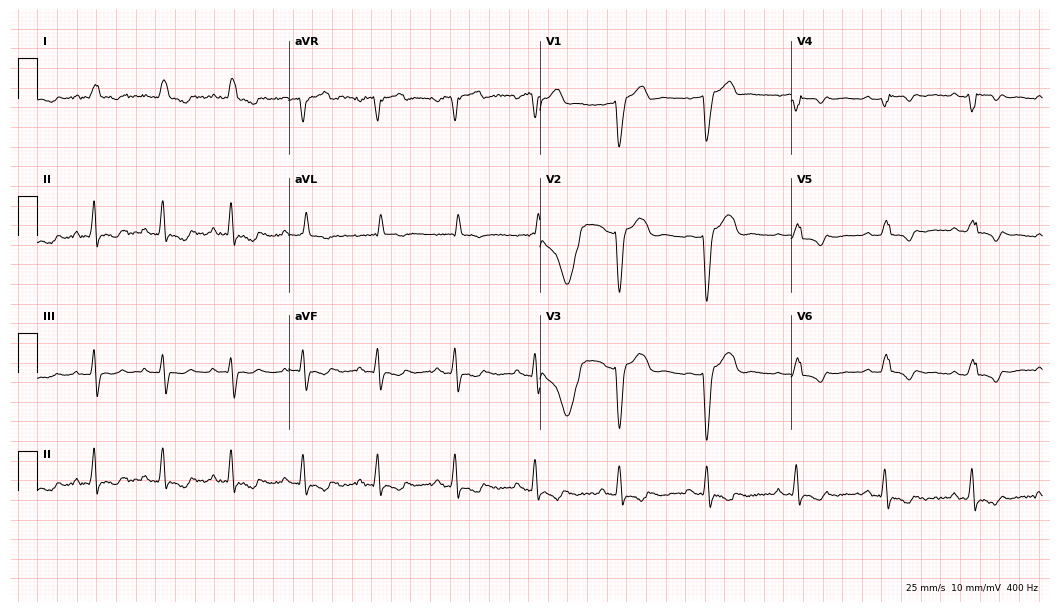
ECG (10.2-second recording at 400 Hz) — a 79-year-old male patient. Findings include left bundle branch block (LBBB).